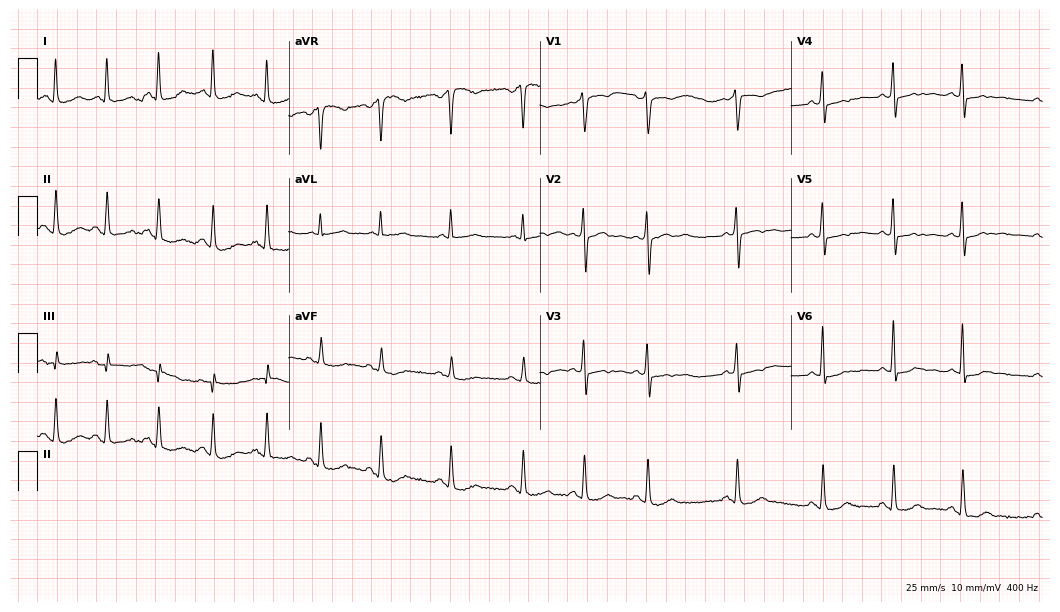
Electrocardiogram (10.2-second recording at 400 Hz), a woman, 25 years old. Overall reading on record: normal ECG.